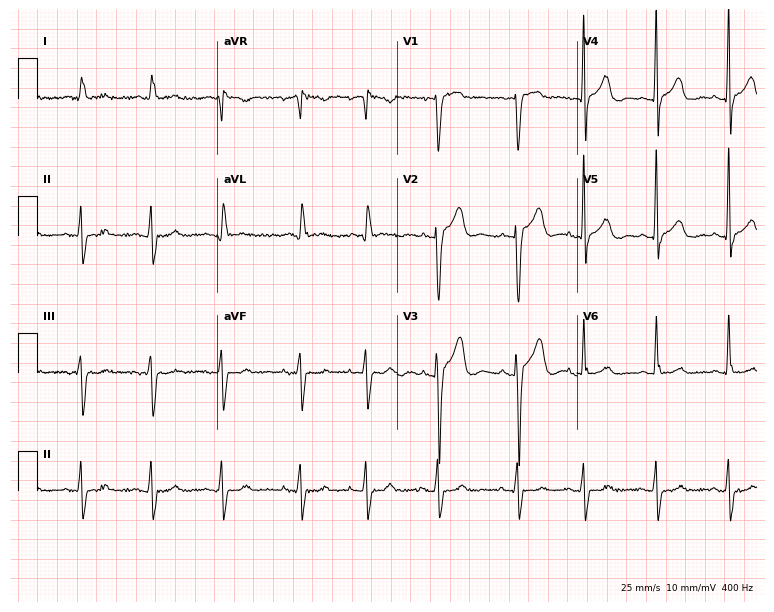
Standard 12-lead ECG recorded from a 74-year-old male. Read as a normal ECG.